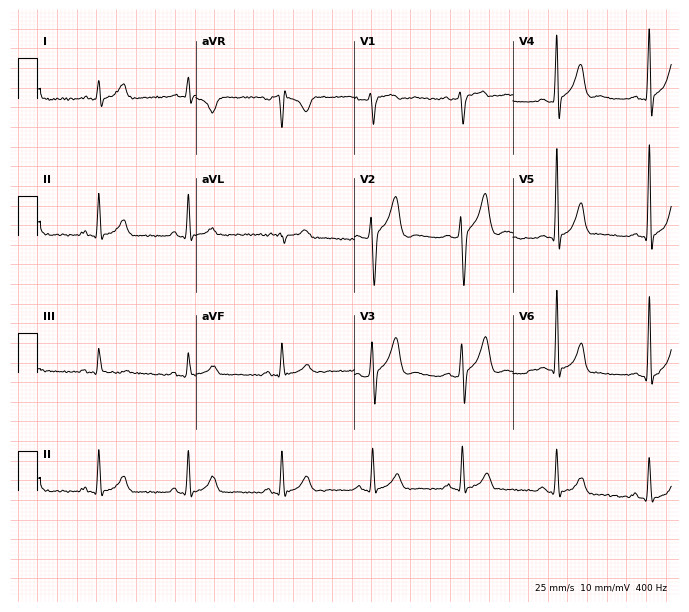
ECG (6.5-second recording at 400 Hz) — a male patient, 18 years old. Labelled as a normal ECG.